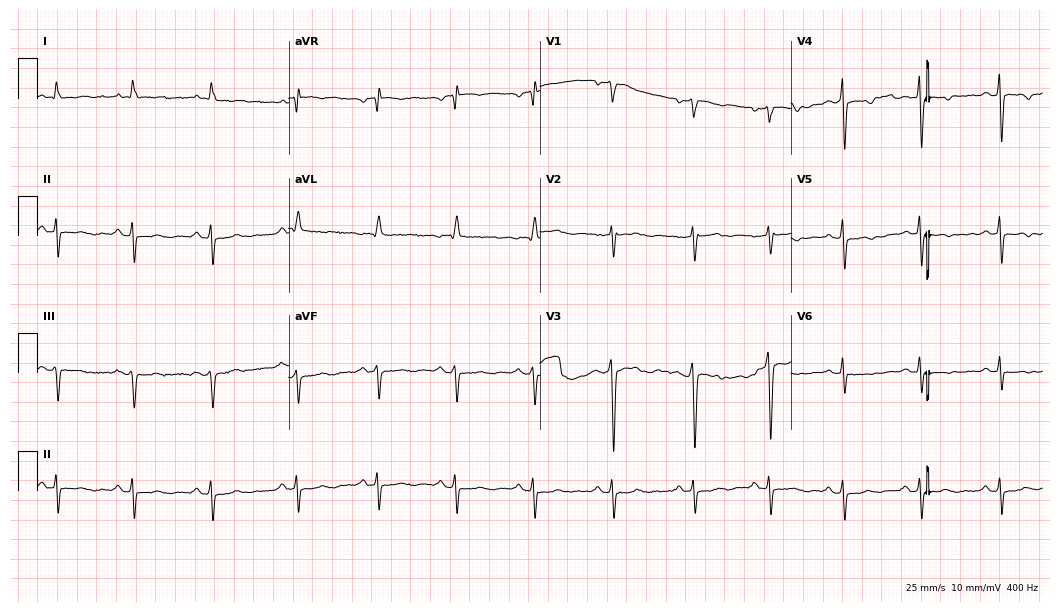
Standard 12-lead ECG recorded from a male patient, 62 years old. None of these six findings is recorded: first-degree AV block, right bundle branch block (RBBB), left bundle branch block (LBBB), sinus bradycardia, atrial fibrillation (AF), sinus tachycardia.